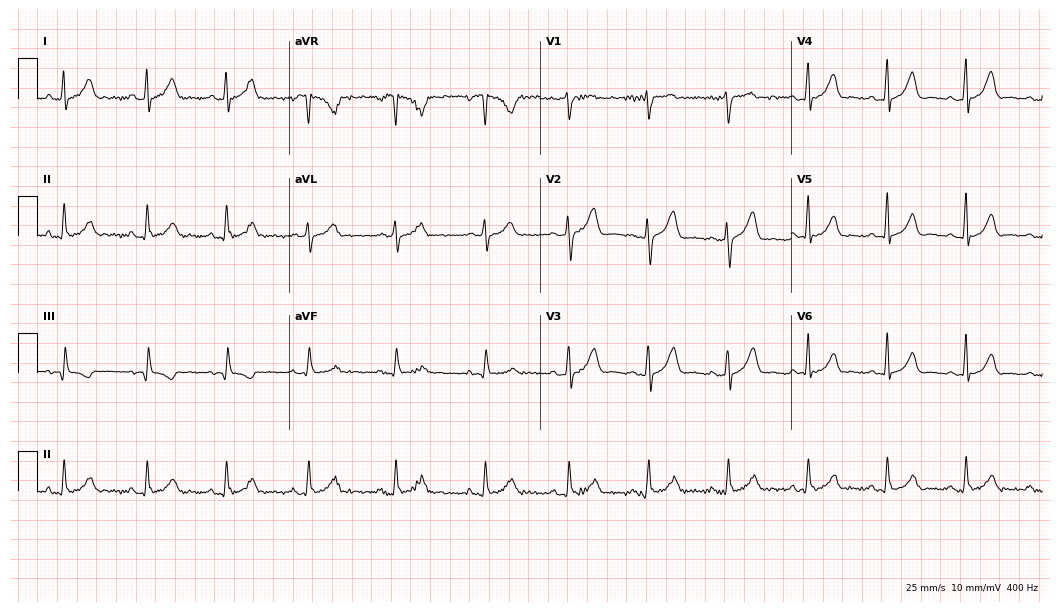
12-lead ECG from a woman, 26 years old (10.2-second recording at 400 Hz). Recorded interpretation: within normal limits.